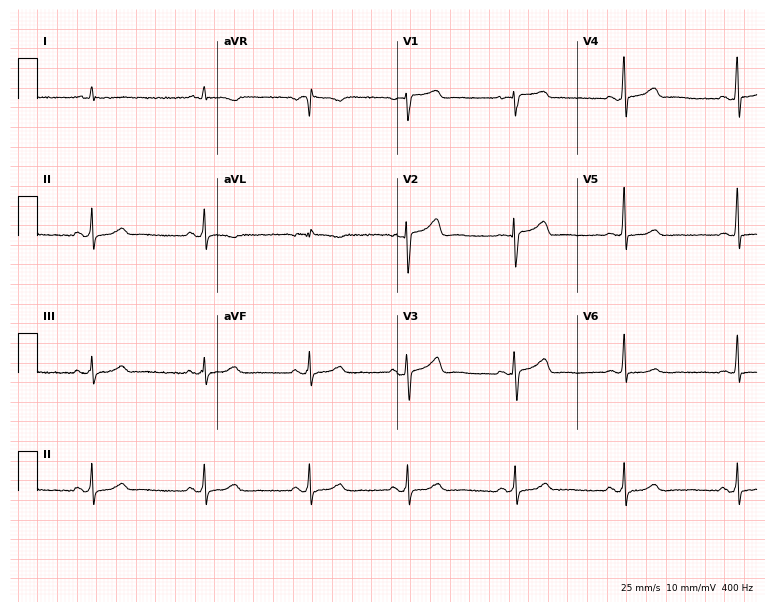
Resting 12-lead electrocardiogram. Patient: a 24-year-old female. None of these six findings is recorded: first-degree AV block, right bundle branch block, left bundle branch block, sinus bradycardia, atrial fibrillation, sinus tachycardia.